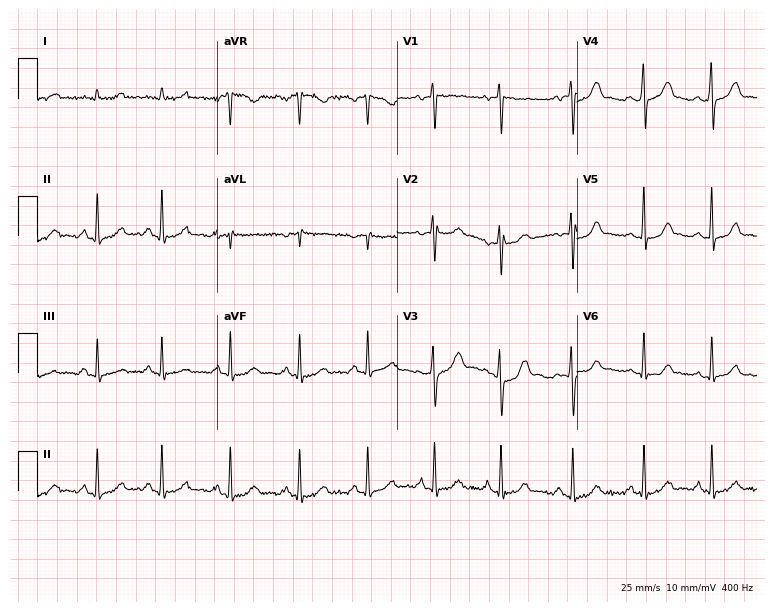
ECG (7.3-second recording at 400 Hz) — a 20-year-old female. Labelled as a normal ECG.